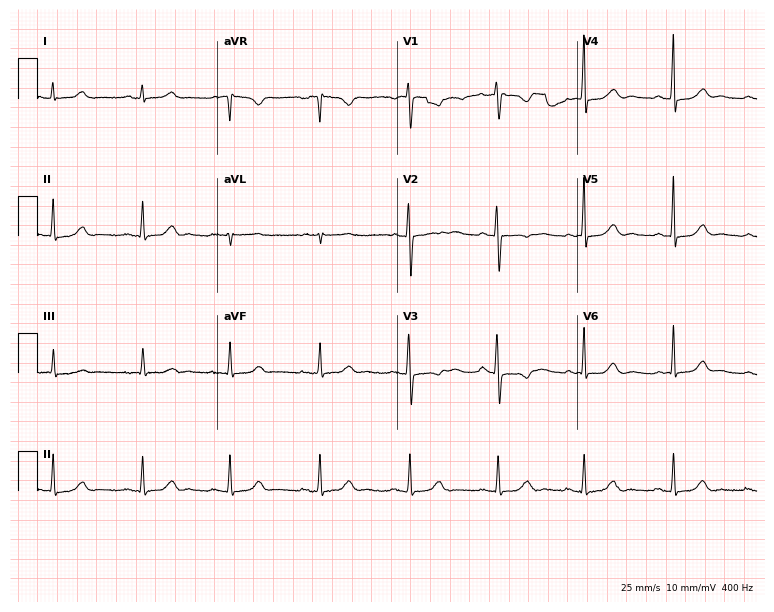
Electrocardiogram (7.3-second recording at 400 Hz), a 33-year-old female. Of the six screened findings (first-degree AV block, right bundle branch block (RBBB), left bundle branch block (LBBB), sinus bradycardia, atrial fibrillation (AF), sinus tachycardia), none is recorded.